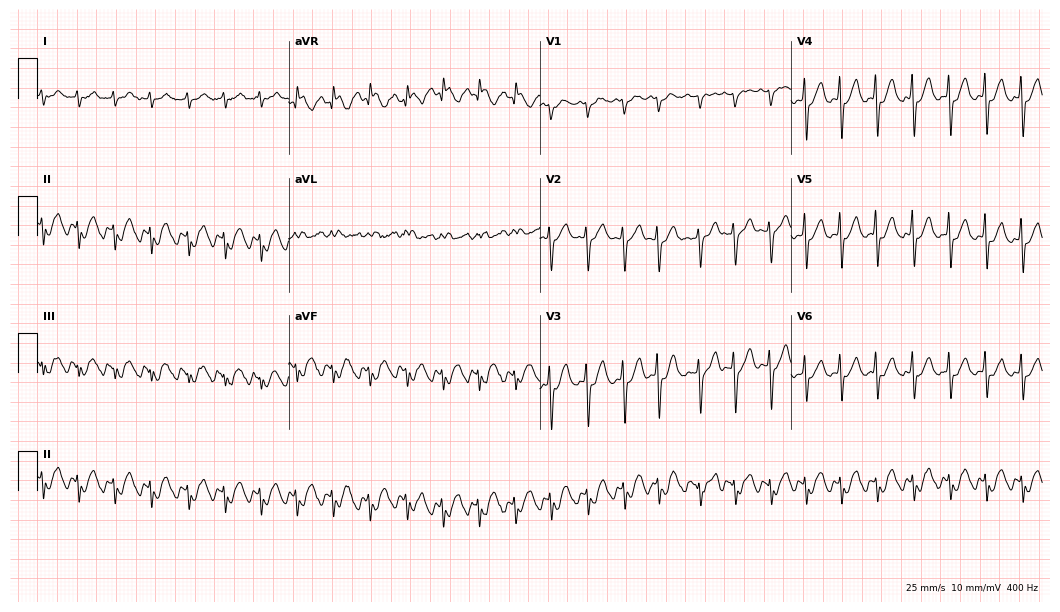
12-lead ECG from a 77-year-old male. No first-degree AV block, right bundle branch block, left bundle branch block, sinus bradycardia, atrial fibrillation or sinus tachycardia recorded for this tracing. Only these six findings were labelled.